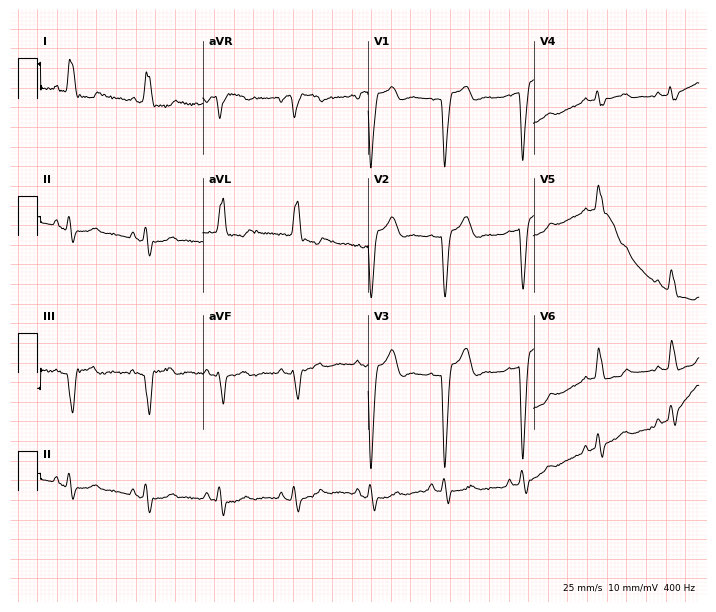
12-lead ECG (6.7-second recording at 400 Hz) from a male patient, 73 years old. Screened for six findings — first-degree AV block, right bundle branch block, left bundle branch block, sinus bradycardia, atrial fibrillation, sinus tachycardia — none is recorded.